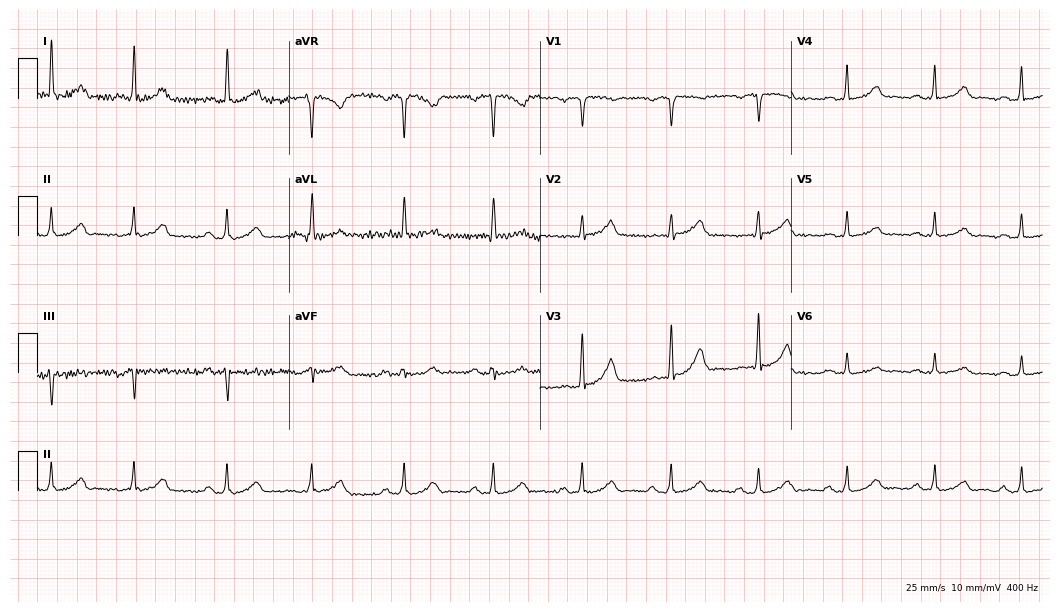
Electrocardiogram (10.2-second recording at 400 Hz), a 76-year-old female patient. Of the six screened findings (first-degree AV block, right bundle branch block (RBBB), left bundle branch block (LBBB), sinus bradycardia, atrial fibrillation (AF), sinus tachycardia), none is recorded.